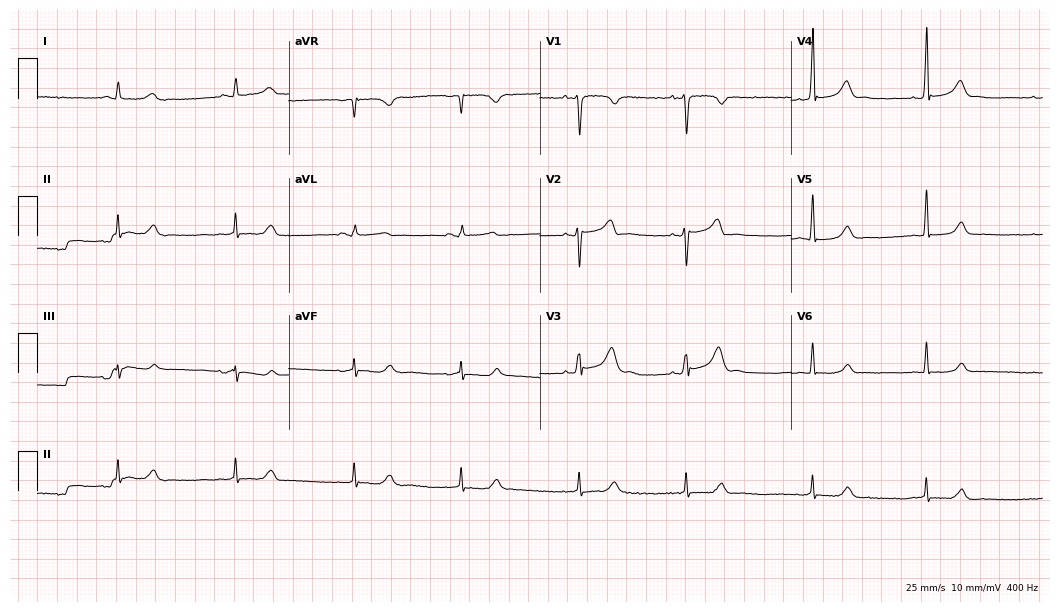
12-lead ECG from a male, 30 years old. Recorded interpretation: within normal limits.